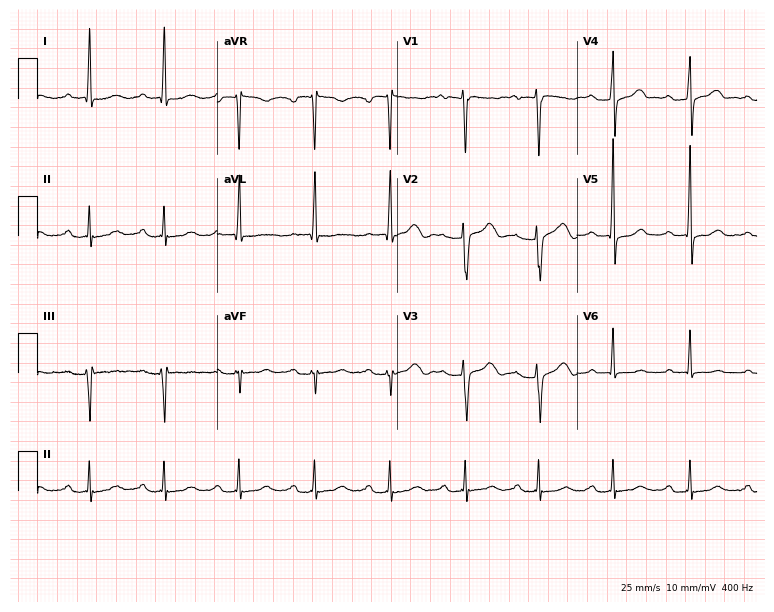
12-lead ECG (7.3-second recording at 400 Hz) from a woman, 42 years old. Findings include first-degree AV block.